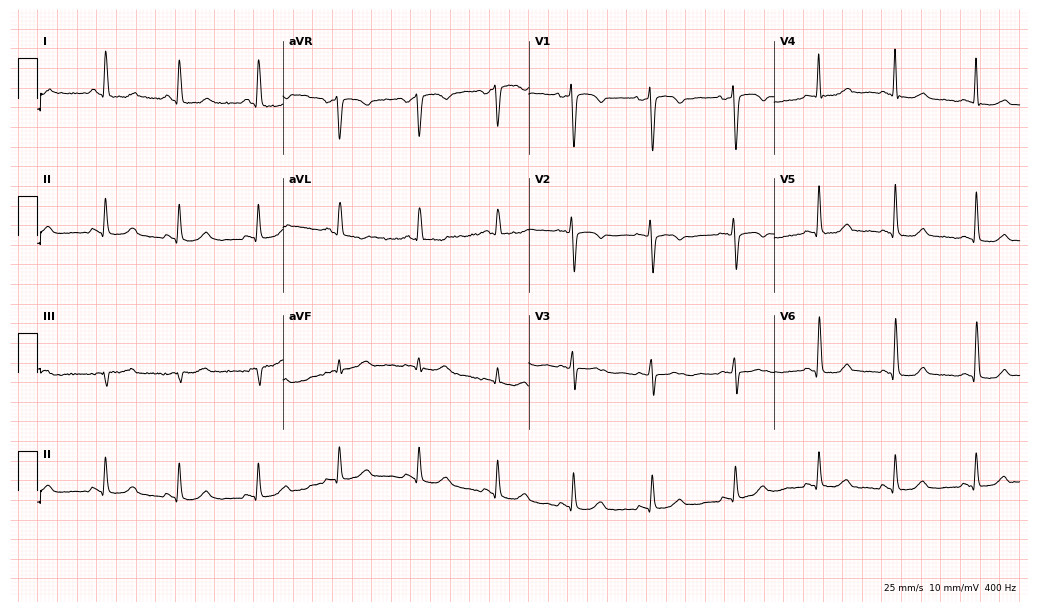
Resting 12-lead electrocardiogram (10-second recording at 400 Hz). Patient: a 56-year-old female. None of these six findings is recorded: first-degree AV block, right bundle branch block, left bundle branch block, sinus bradycardia, atrial fibrillation, sinus tachycardia.